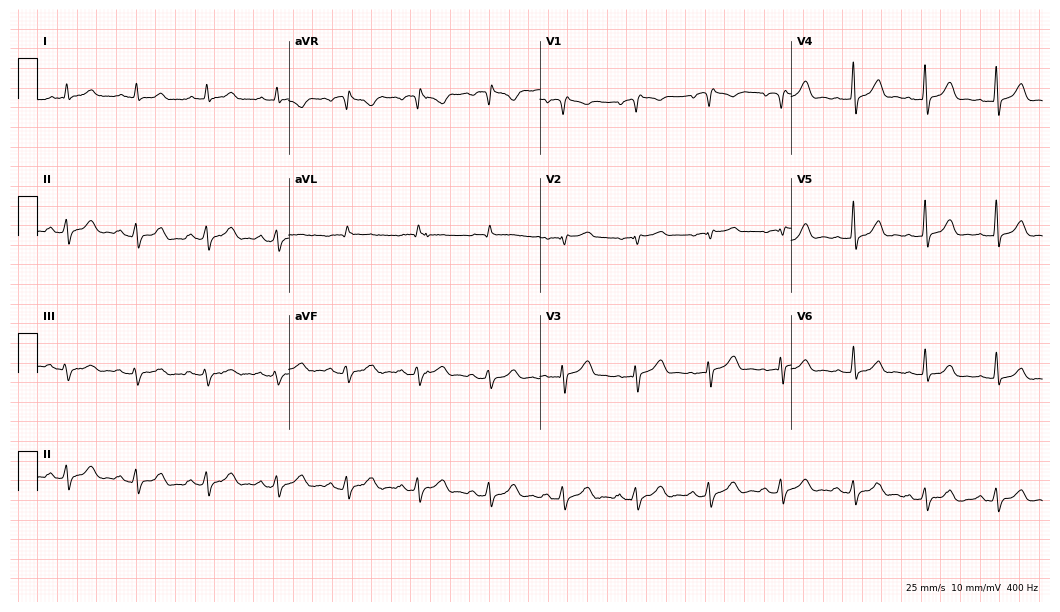
12-lead ECG from a 70-year-old male patient. Screened for six findings — first-degree AV block, right bundle branch block, left bundle branch block, sinus bradycardia, atrial fibrillation, sinus tachycardia — none is recorded.